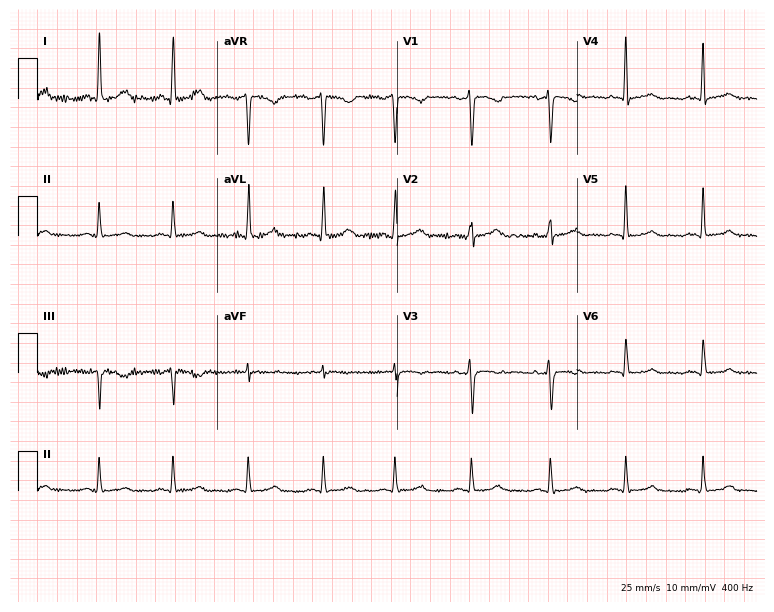
12-lead ECG from a 37-year-old female patient (7.3-second recording at 400 Hz). No first-degree AV block, right bundle branch block, left bundle branch block, sinus bradycardia, atrial fibrillation or sinus tachycardia recorded for this tracing.